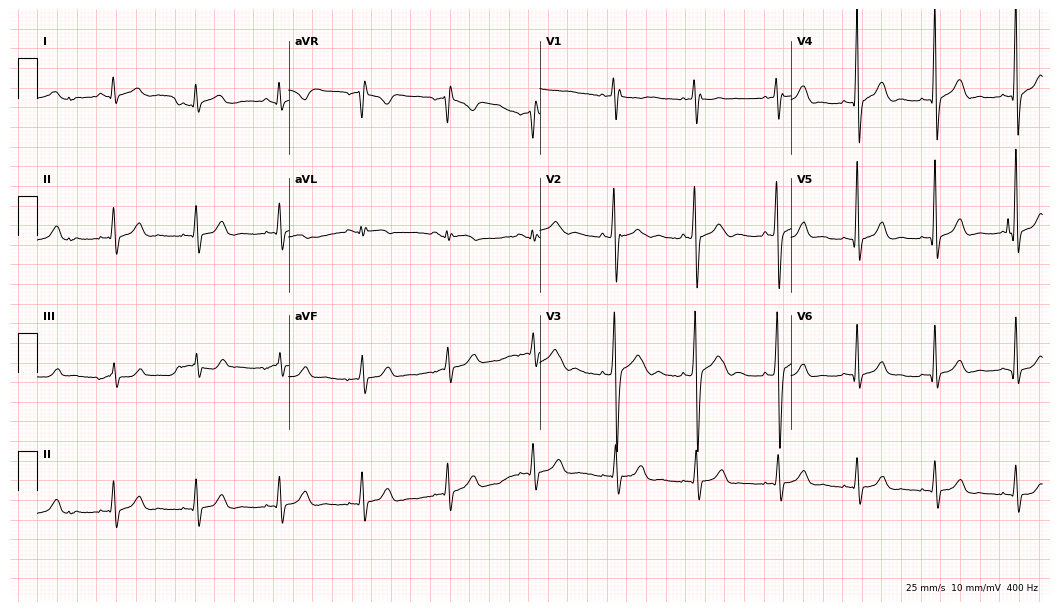
ECG (10.2-second recording at 400 Hz) — a male, 17 years old. Screened for six findings — first-degree AV block, right bundle branch block, left bundle branch block, sinus bradycardia, atrial fibrillation, sinus tachycardia — none is recorded.